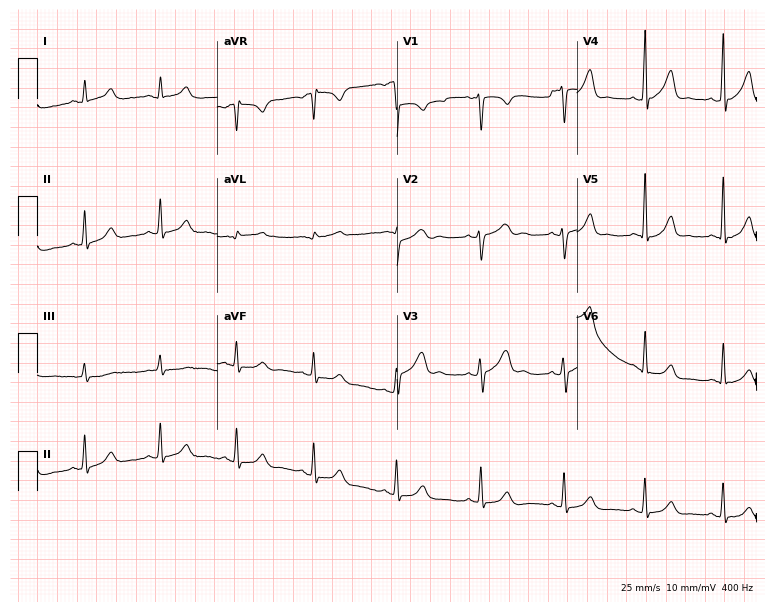
12-lead ECG (7.3-second recording at 400 Hz) from a 23-year-old man. Screened for six findings — first-degree AV block, right bundle branch block, left bundle branch block, sinus bradycardia, atrial fibrillation, sinus tachycardia — none is recorded. Only these six findings were labelled.